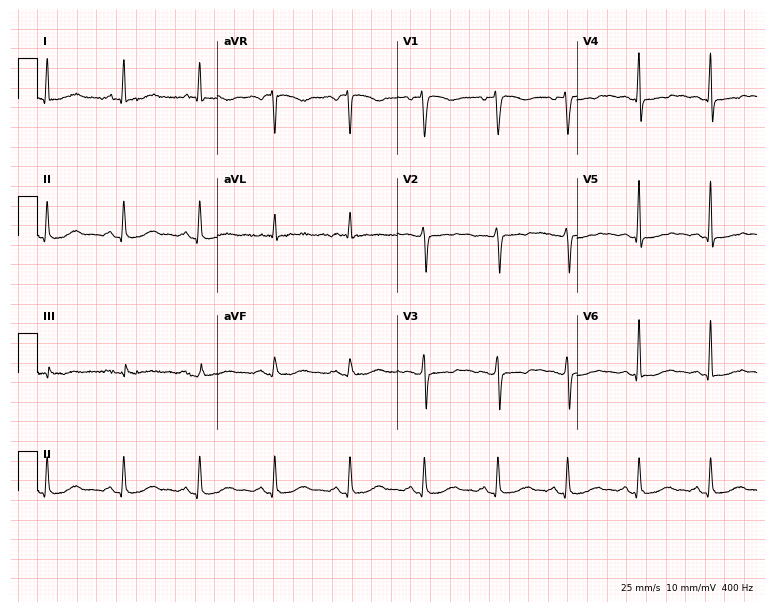
Standard 12-lead ECG recorded from a female, 50 years old (7.3-second recording at 400 Hz). None of these six findings is recorded: first-degree AV block, right bundle branch block, left bundle branch block, sinus bradycardia, atrial fibrillation, sinus tachycardia. Findings outside these six are not listed.